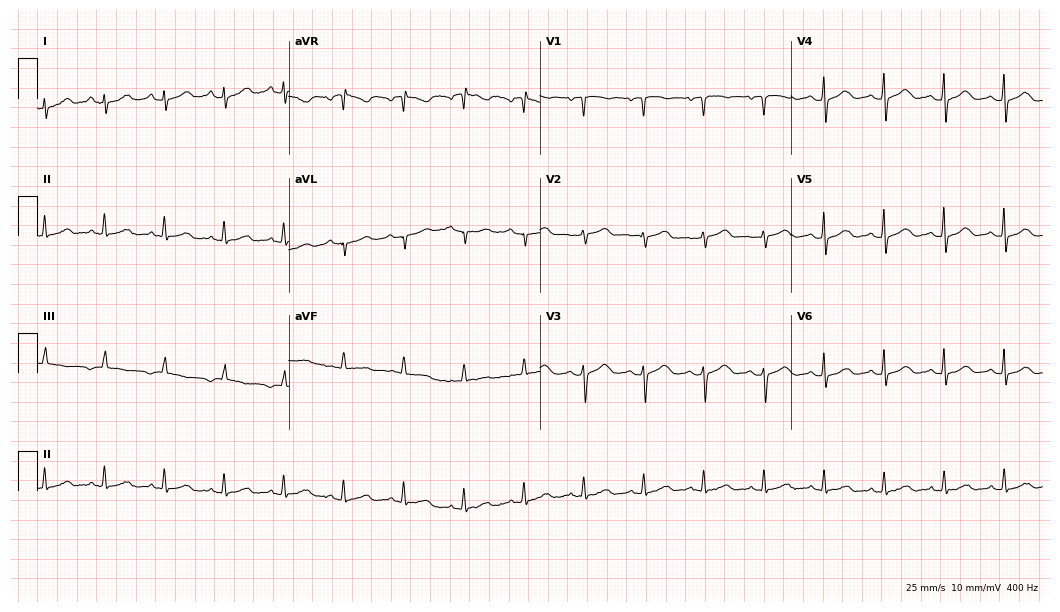
ECG — a female patient, 82 years old. Labelled as a normal ECG.